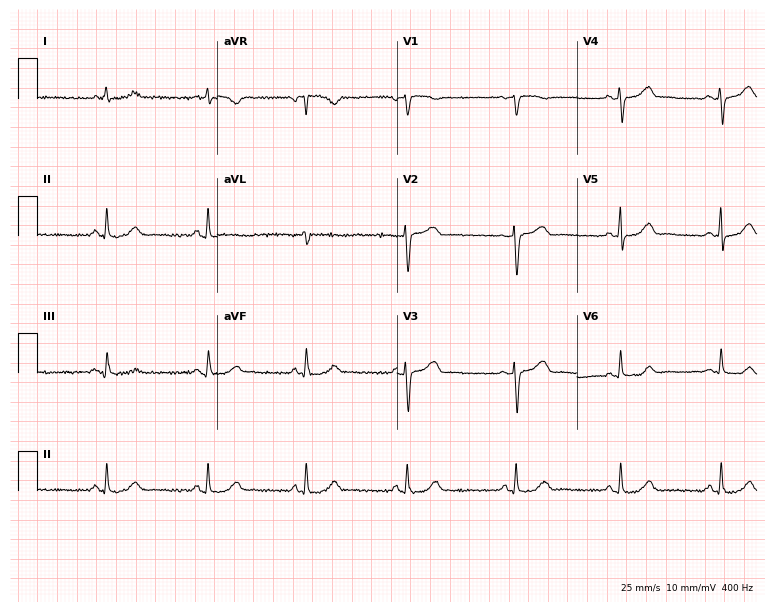
12-lead ECG from a female, 57 years old (7.3-second recording at 400 Hz). No first-degree AV block, right bundle branch block, left bundle branch block, sinus bradycardia, atrial fibrillation or sinus tachycardia recorded for this tracing.